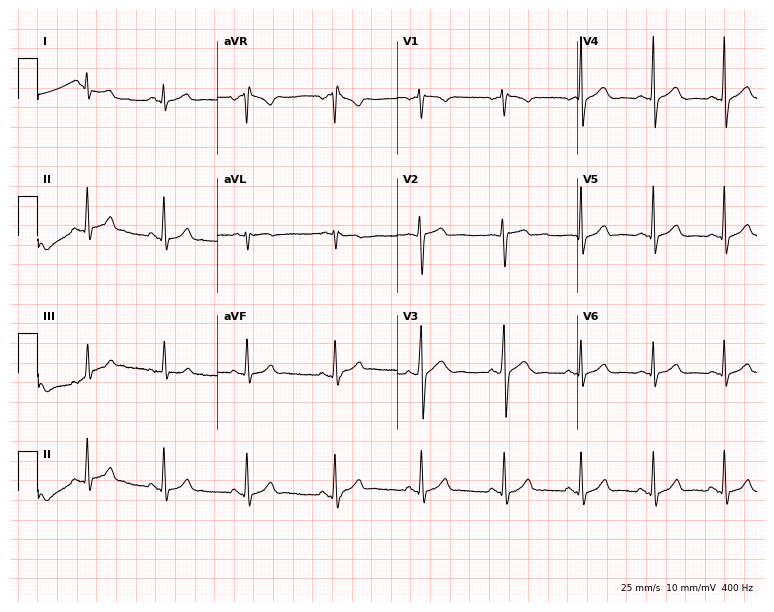
12-lead ECG (7.3-second recording at 400 Hz) from a male, 18 years old. Screened for six findings — first-degree AV block, right bundle branch block, left bundle branch block, sinus bradycardia, atrial fibrillation, sinus tachycardia — none is recorded. Findings outside these six are not listed.